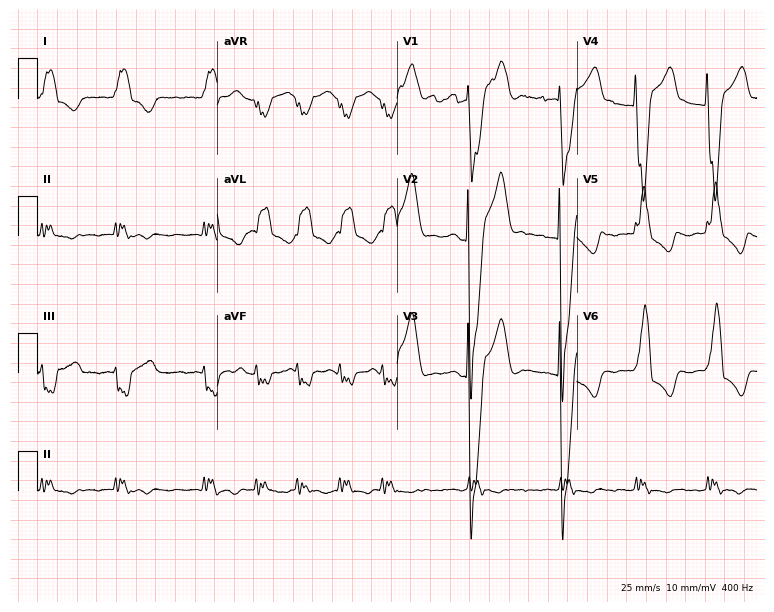
ECG — a 63-year-old male. Findings include left bundle branch block, atrial fibrillation.